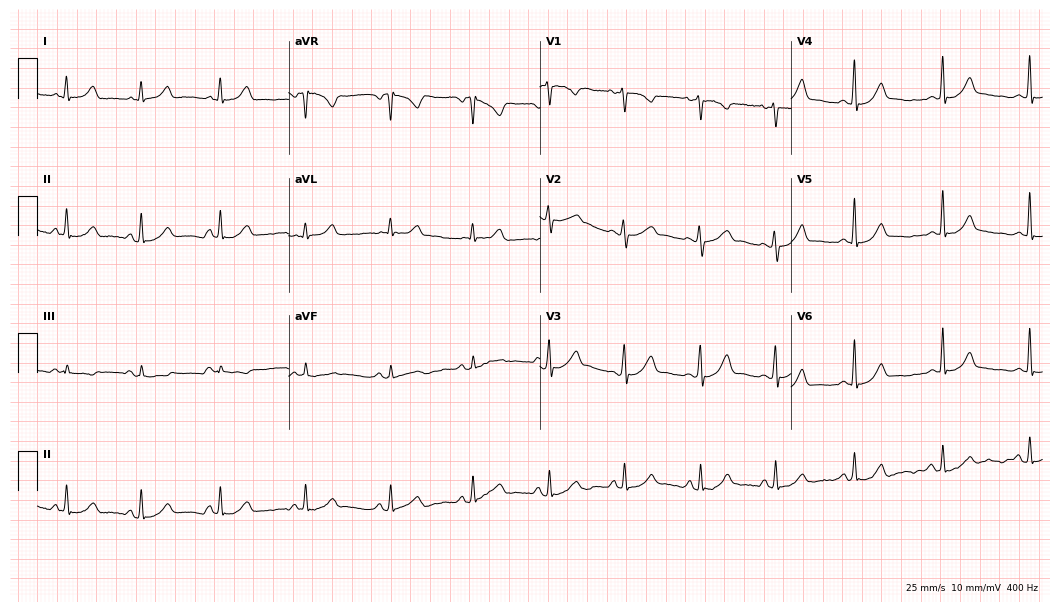
ECG (10.2-second recording at 400 Hz) — a 31-year-old woman. Labelled as a normal ECG.